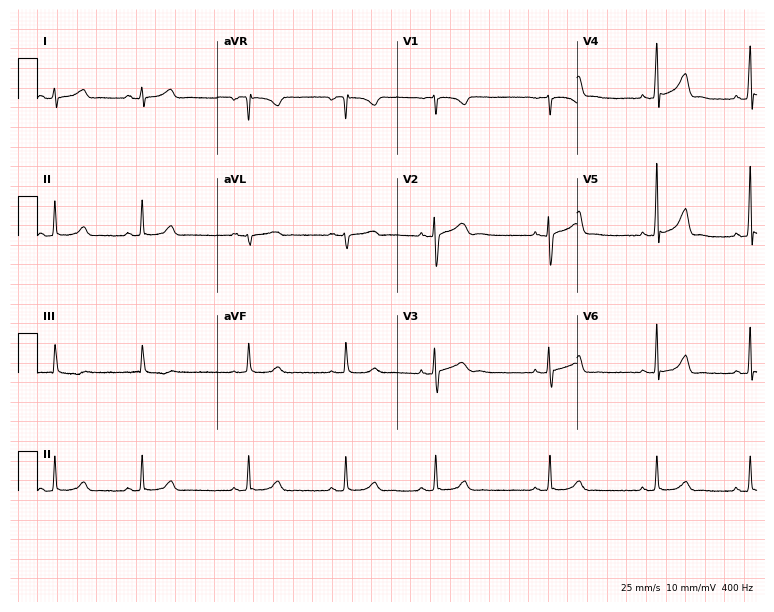
ECG (7.3-second recording at 400 Hz) — a woman, 23 years old. Labelled as a normal ECG.